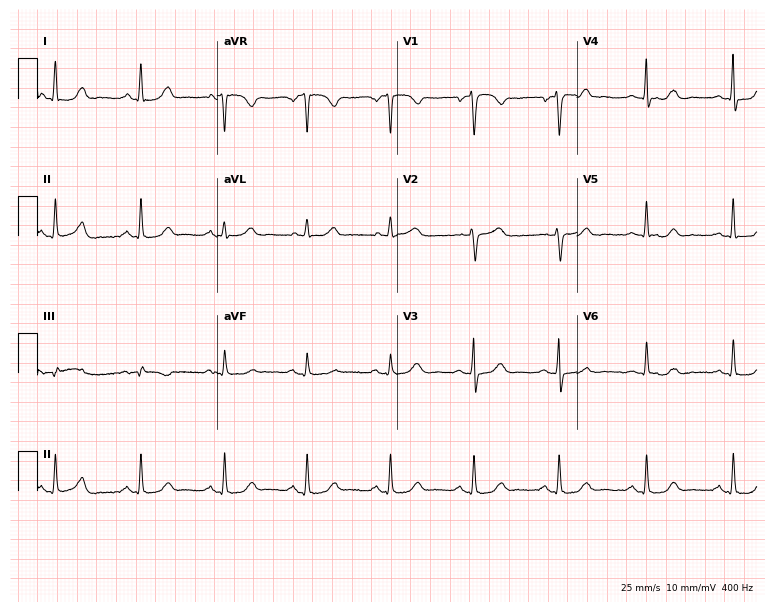
ECG — a female, 56 years old. Labelled as a normal ECG.